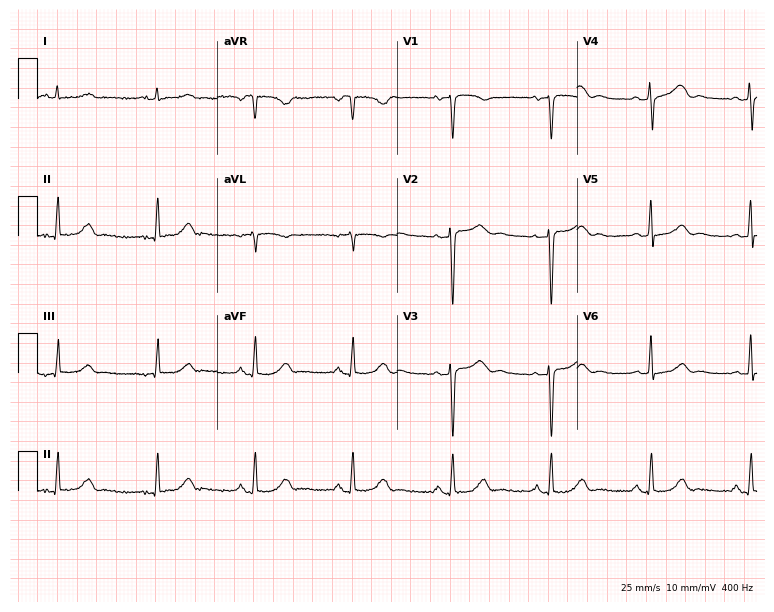
ECG (7.3-second recording at 400 Hz) — a 49-year-old woman. Screened for six findings — first-degree AV block, right bundle branch block (RBBB), left bundle branch block (LBBB), sinus bradycardia, atrial fibrillation (AF), sinus tachycardia — none is recorded.